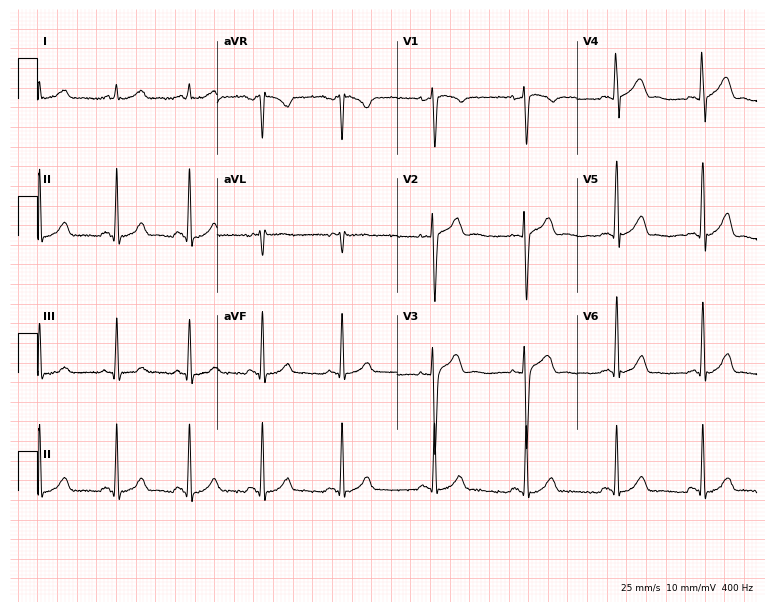
Standard 12-lead ECG recorded from a 24-year-old man. Read as a normal ECG.